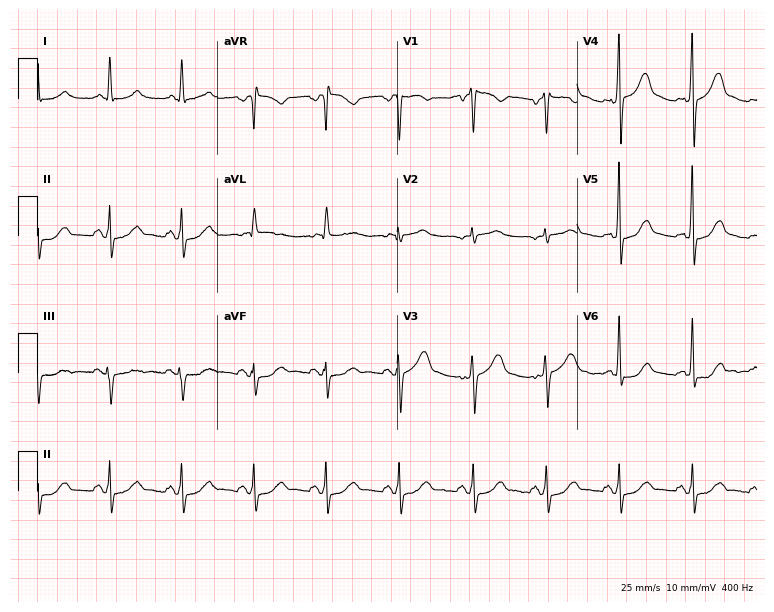
Electrocardiogram (7.3-second recording at 400 Hz), a male patient, 62 years old. Overall reading on record: normal ECG.